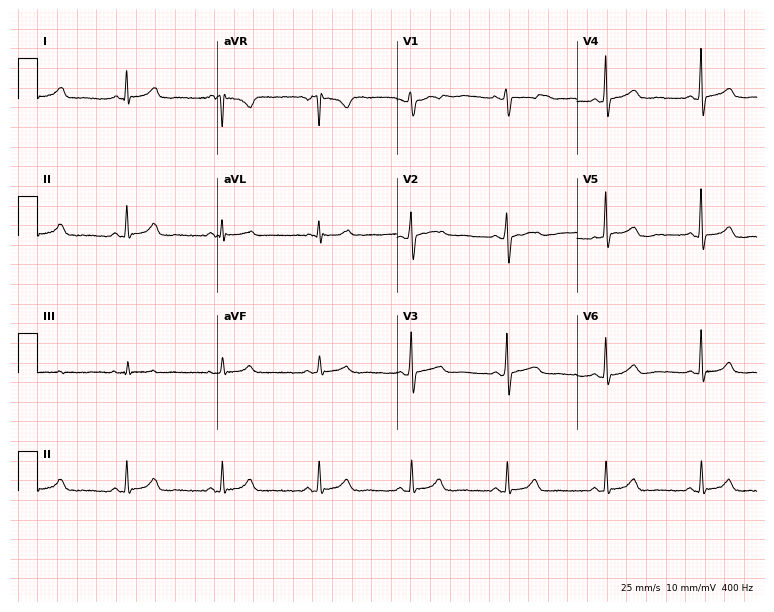
12-lead ECG (7.3-second recording at 400 Hz) from a 51-year-old female patient. Labelled as a normal ECG.